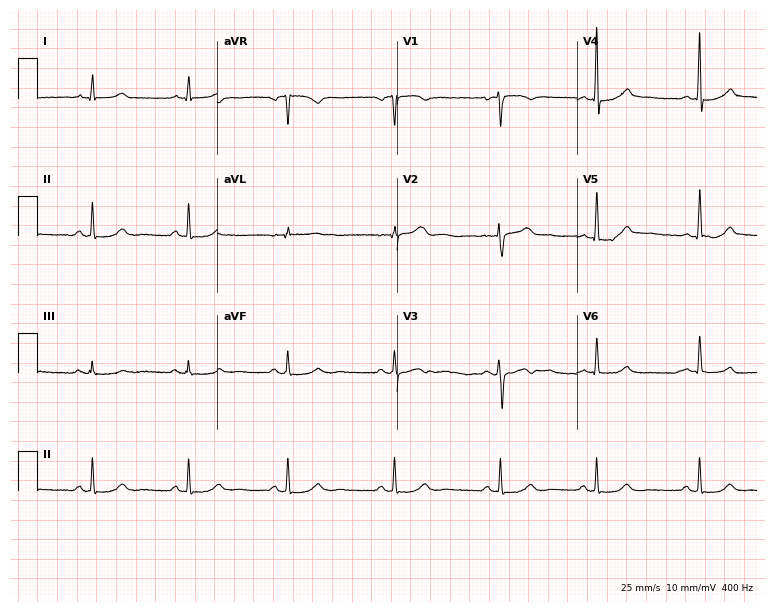
ECG (7.3-second recording at 400 Hz) — a 41-year-old female patient. Screened for six findings — first-degree AV block, right bundle branch block (RBBB), left bundle branch block (LBBB), sinus bradycardia, atrial fibrillation (AF), sinus tachycardia — none is recorded. Findings outside these six are not listed.